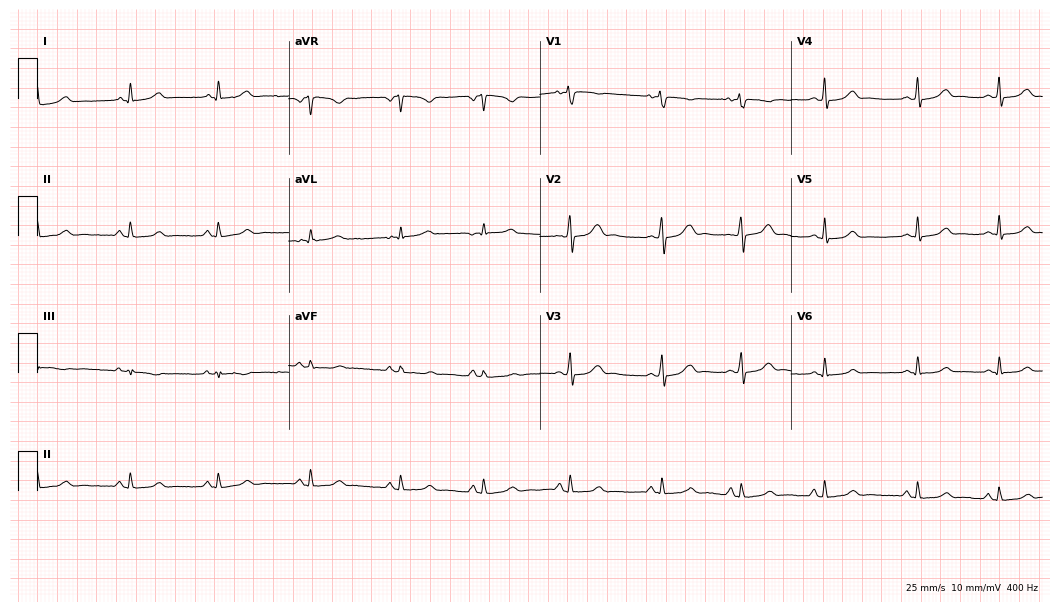
Electrocardiogram, a 20-year-old female. Overall reading on record: normal ECG.